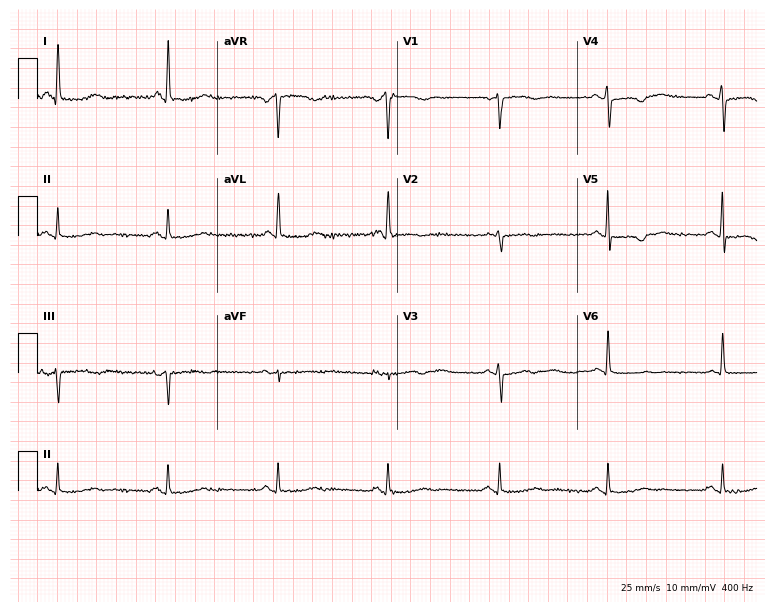
12-lead ECG from a 60-year-old woman. Screened for six findings — first-degree AV block, right bundle branch block, left bundle branch block, sinus bradycardia, atrial fibrillation, sinus tachycardia — none is recorded. Only these six findings were labelled.